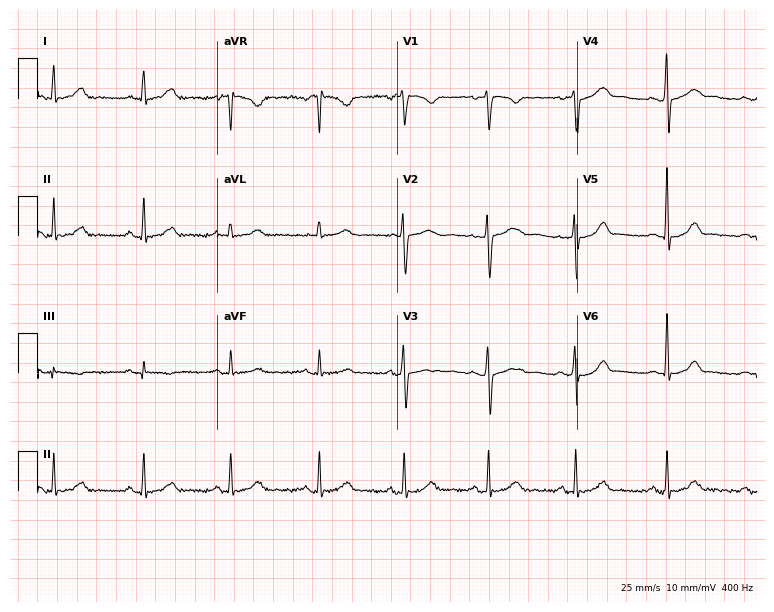
Resting 12-lead electrocardiogram. Patient: a female, 43 years old. Read as a normal ECG.